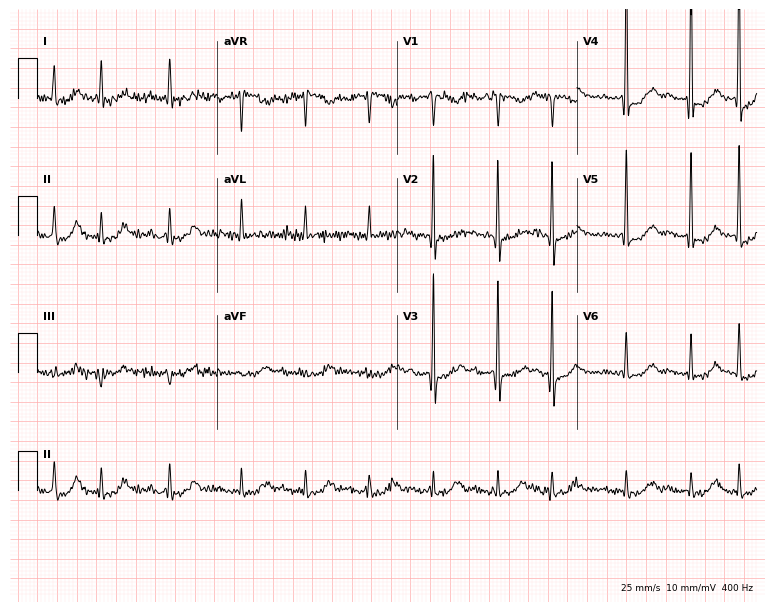
12-lead ECG from a male, 83 years old (7.3-second recording at 400 Hz). No first-degree AV block, right bundle branch block (RBBB), left bundle branch block (LBBB), sinus bradycardia, atrial fibrillation (AF) or sinus tachycardia recorded for this tracing. Findings outside these six are not listed.